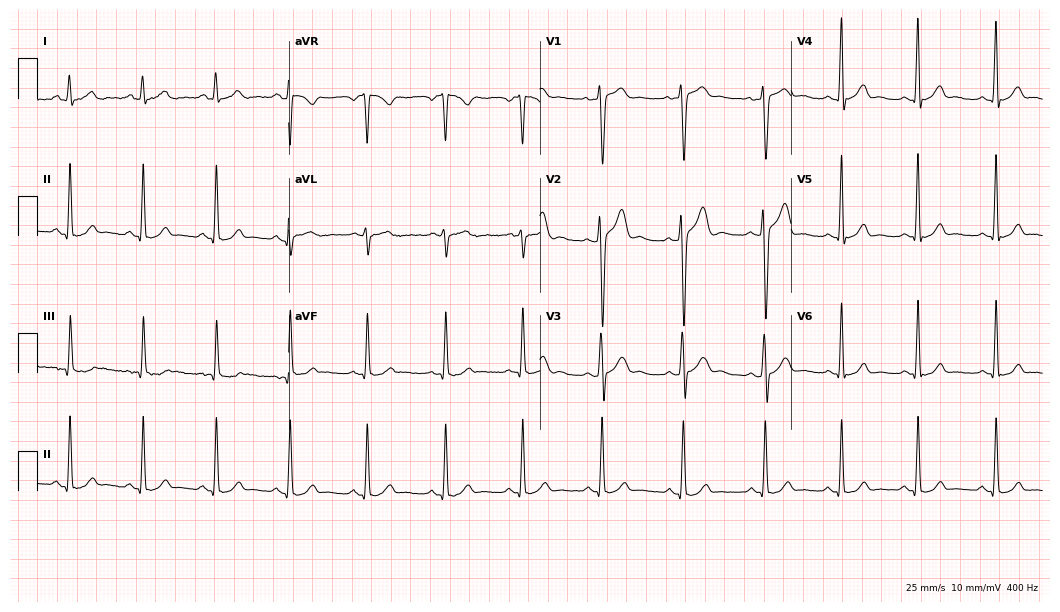
12-lead ECG from an 18-year-old man. Recorded interpretation: within normal limits.